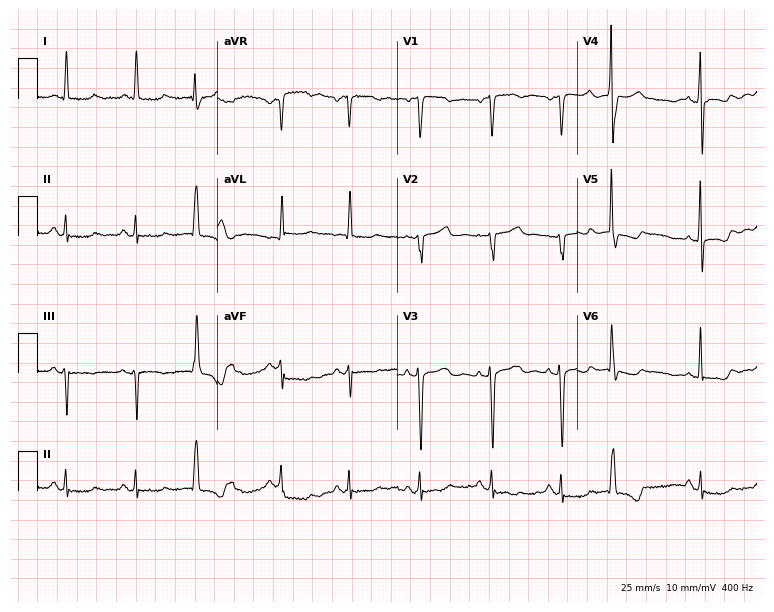
Electrocardiogram, an 83-year-old man. Of the six screened findings (first-degree AV block, right bundle branch block (RBBB), left bundle branch block (LBBB), sinus bradycardia, atrial fibrillation (AF), sinus tachycardia), none is recorded. Only these six findings were labelled.